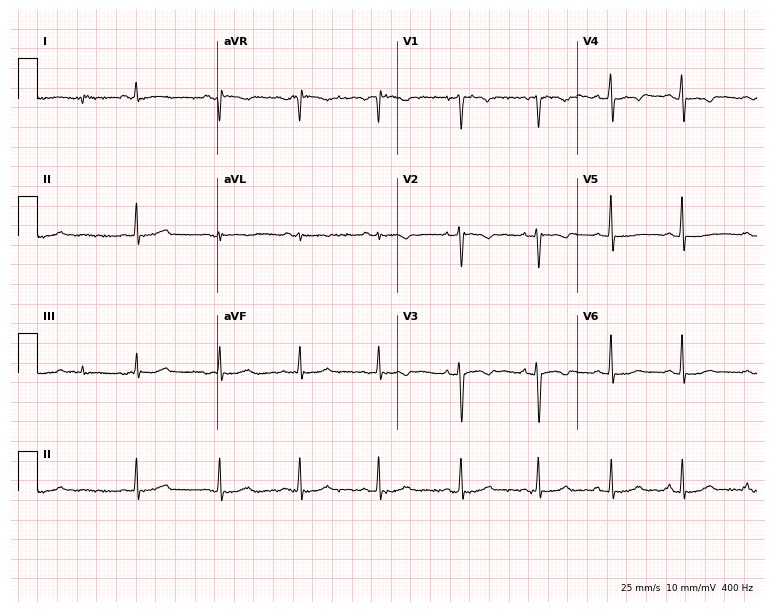
Electrocardiogram, a woman, 21 years old. Of the six screened findings (first-degree AV block, right bundle branch block (RBBB), left bundle branch block (LBBB), sinus bradycardia, atrial fibrillation (AF), sinus tachycardia), none is recorded. Other findings, if any, are not listed.